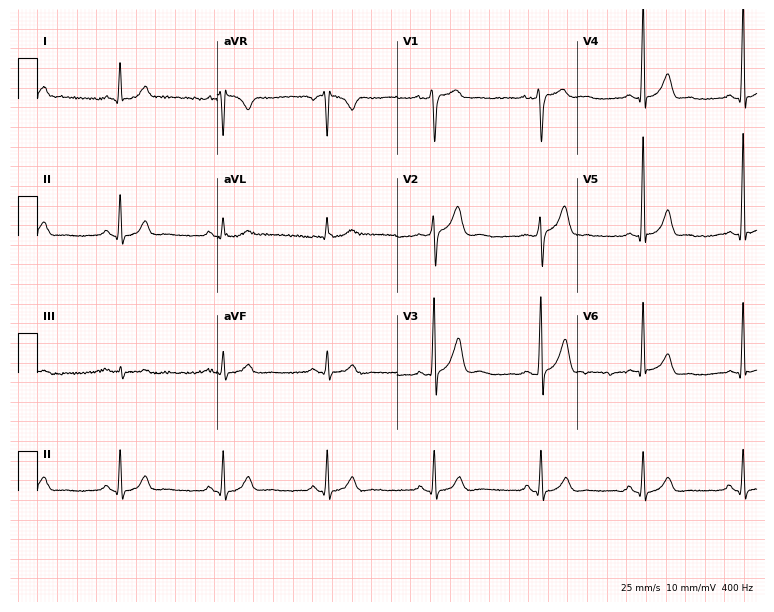
ECG (7.3-second recording at 400 Hz) — a 48-year-old male patient. Labelled as a normal ECG.